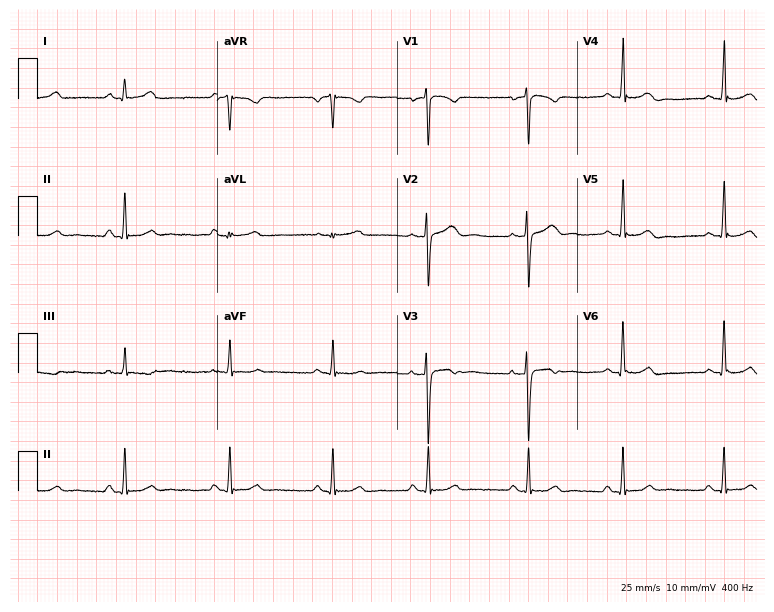
12-lead ECG (7.3-second recording at 400 Hz) from a female patient, 39 years old. Labelled as a normal ECG.